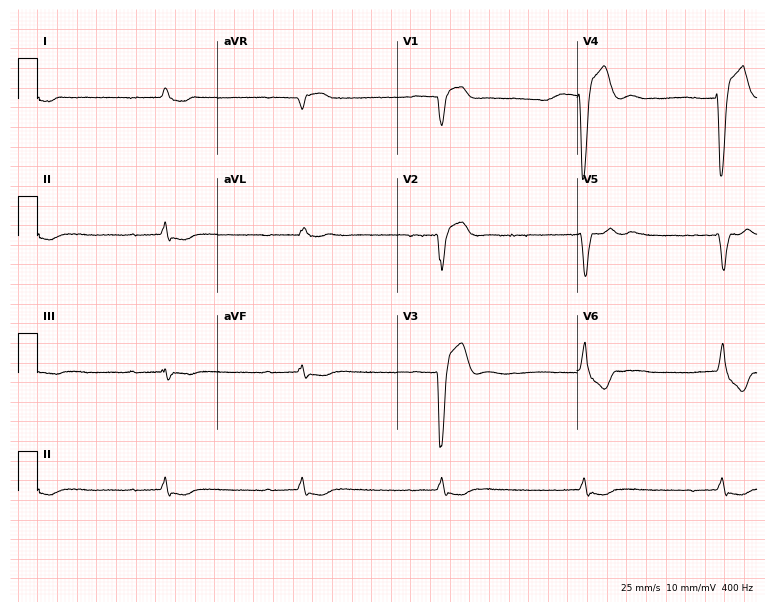
12-lead ECG from an 82-year-old female patient. Findings include atrial fibrillation.